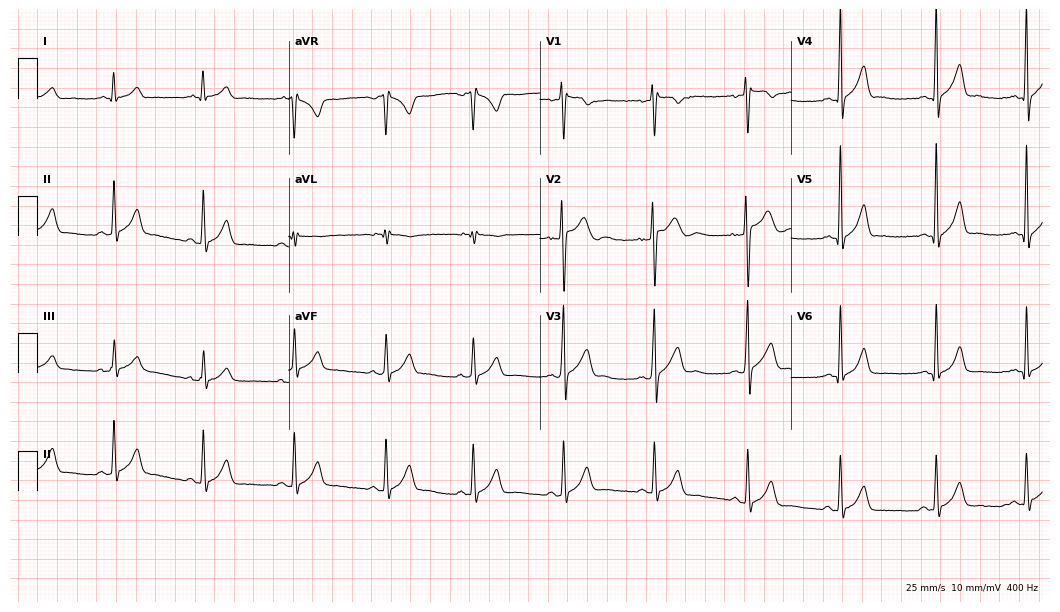
ECG (10.2-second recording at 400 Hz) — a male, 21 years old. Screened for six findings — first-degree AV block, right bundle branch block, left bundle branch block, sinus bradycardia, atrial fibrillation, sinus tachycardia — none is recorded.